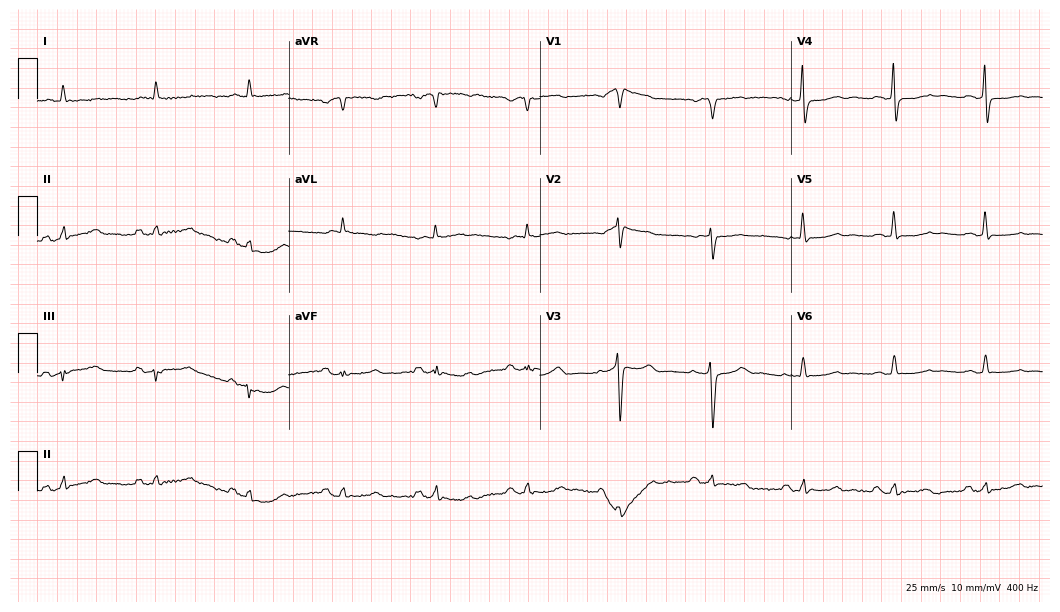
Electrocardiogram, a male, 81 years old. Of the six screened findings (first-degree AV block, right bundle branch block (RBBB), left bundle branch block (LBBB), sinus bradycardia, atrial fibrillation (AF), sinus tachycardia), none is recorded.